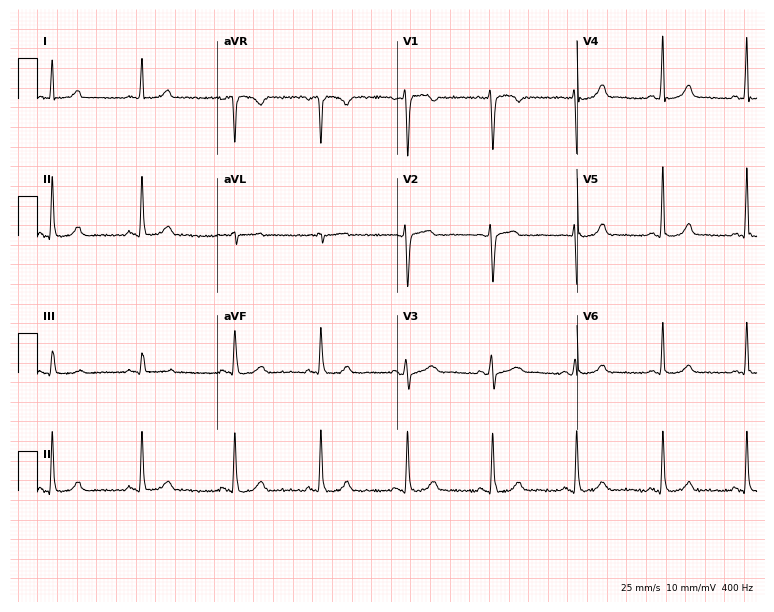
Standard 12-lead ECG recorded from a female, 48 years old. Read as a normal ECG.